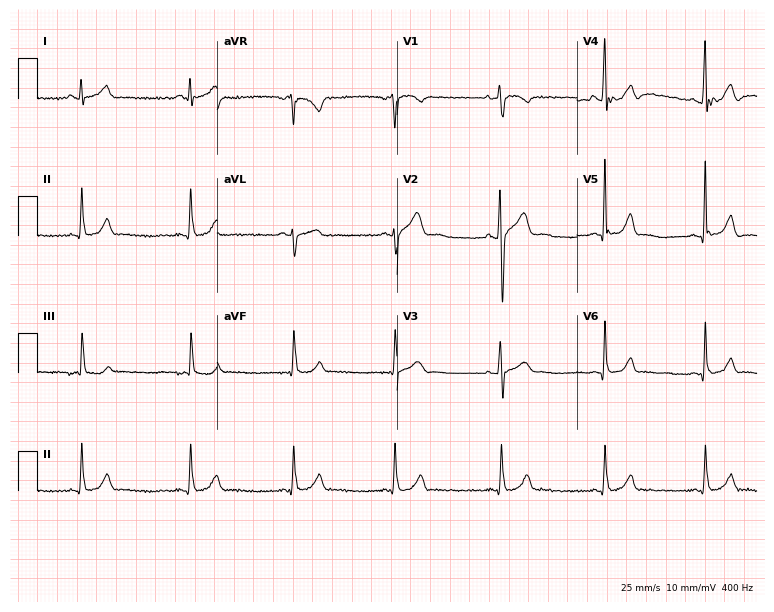
12-lead ECG from a male patient, 25 years old. Screened for six findings — first-degree AV block, right bundle branch block (RBBB), left bundle branch block (LBBB), sinus bradycardia, atrial fibrillation (AF), sinus tachycardia — none is recorded.